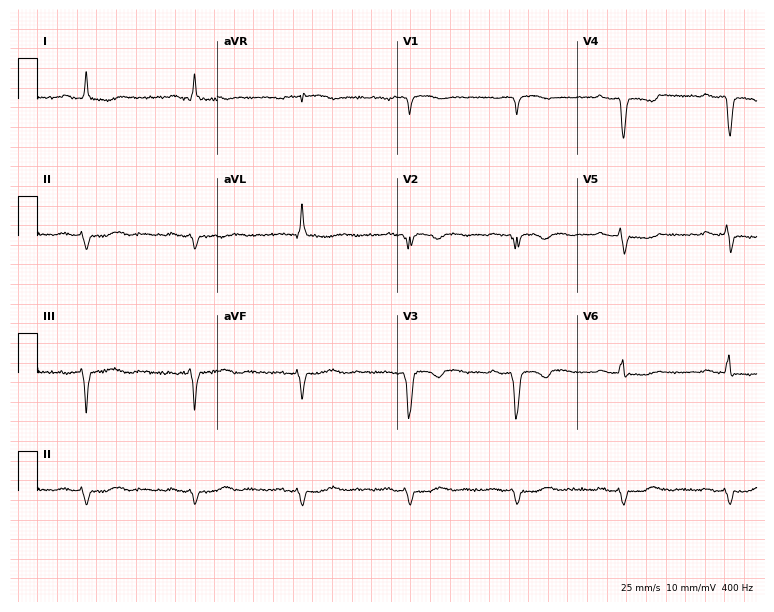
Electrocardiogram, a man, 79 years old. Interpretation includes first-degree AV block.